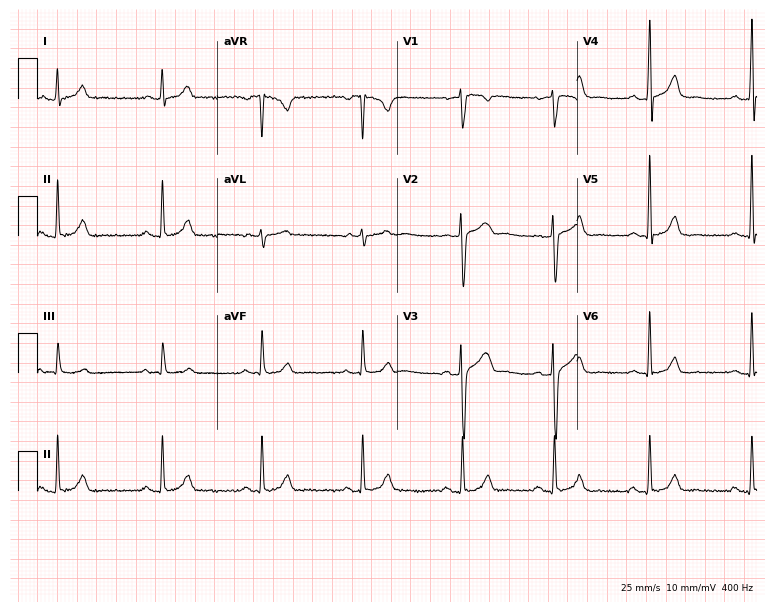
12-lead ECG from a 40-year-old male patient (7.3-second recording at 400 Hz). Recorded interpretation: within normal limits.